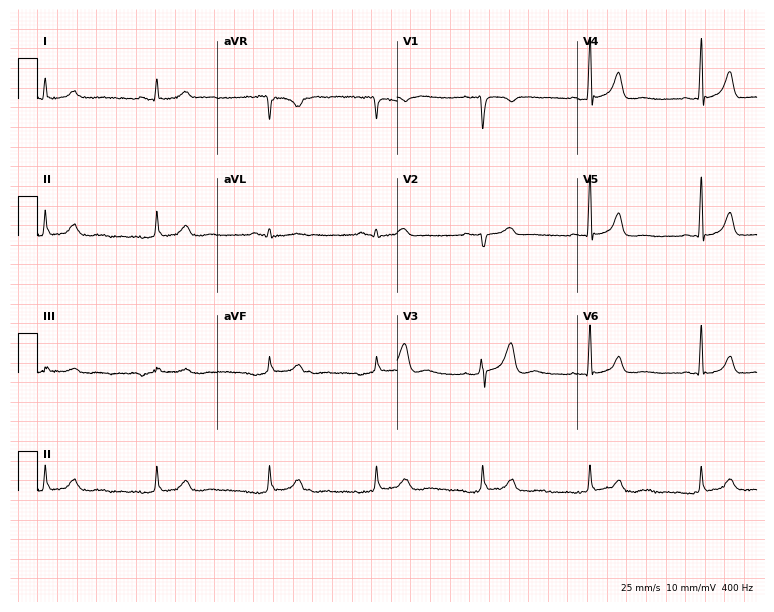
Electrocardiogram (7.3-second recording at 400 Hz), a man, 56 years old. Of the six screened findings (first-degree AV block, right bundle branch block, left bundle branch block, sinus bradycardia, atrial fibrillation, sinus tachycardia), none is recorded.